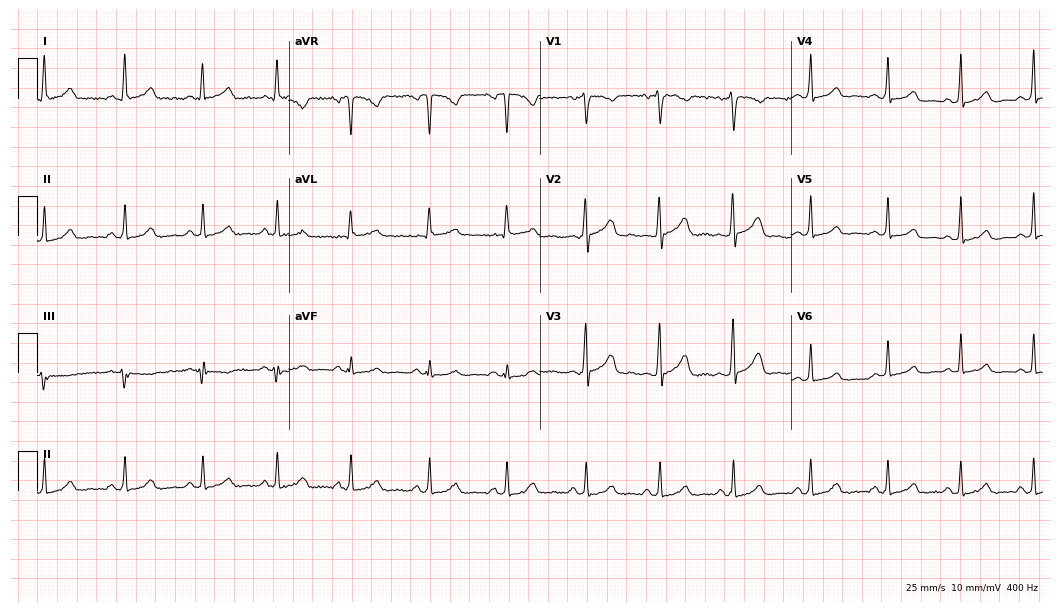
ECG (10.2-second recording at 400 Hz) — a female patient, 30 years old. Labelled as a normal ECG.